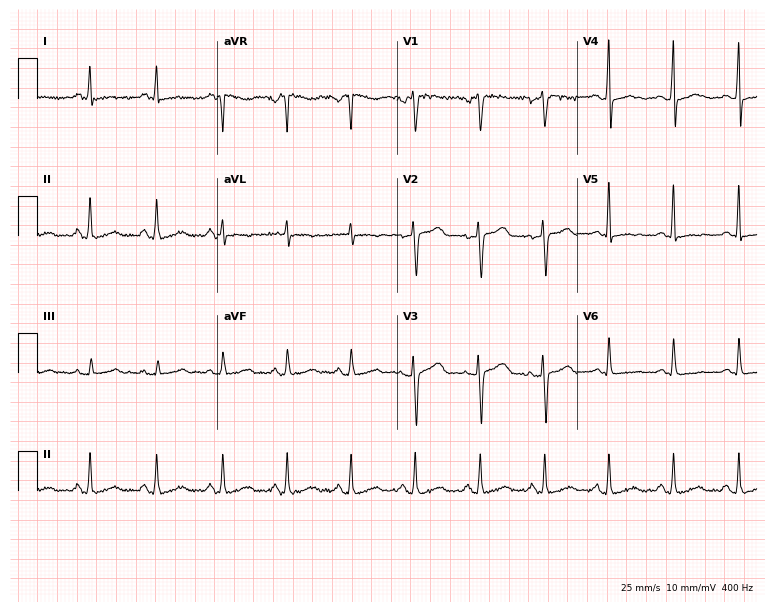
Electrocardiogram, a female, 54 years old. Overall reading on record: normal ECG.